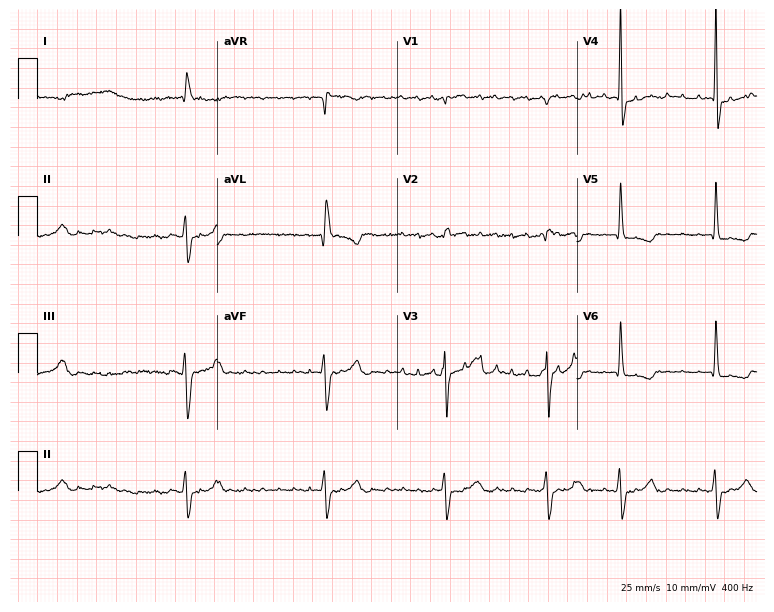
Standard 12-lead ECG recorded from an 82-year-old male patient. The tracing shows atrial fibrillation.